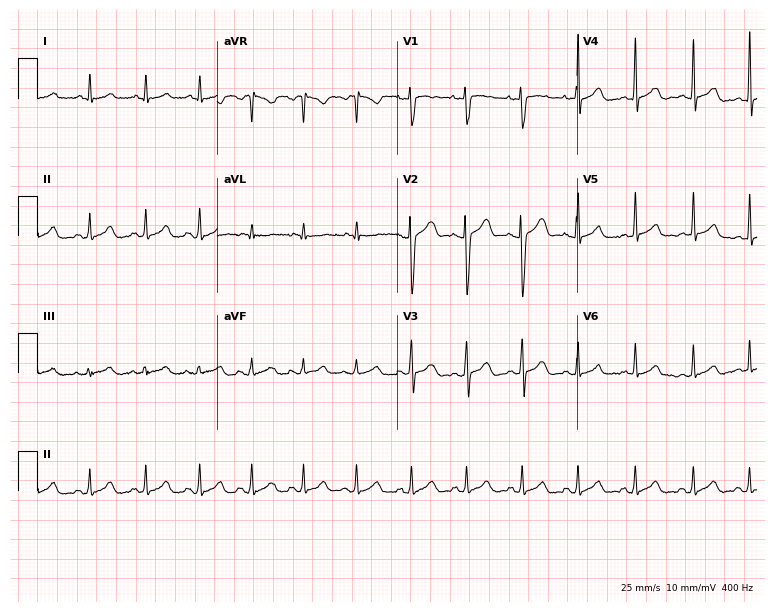
ECG — a 29-year-old female. Findings include sinus tachycardia (a sinus rate of 100 beats per minute or more).